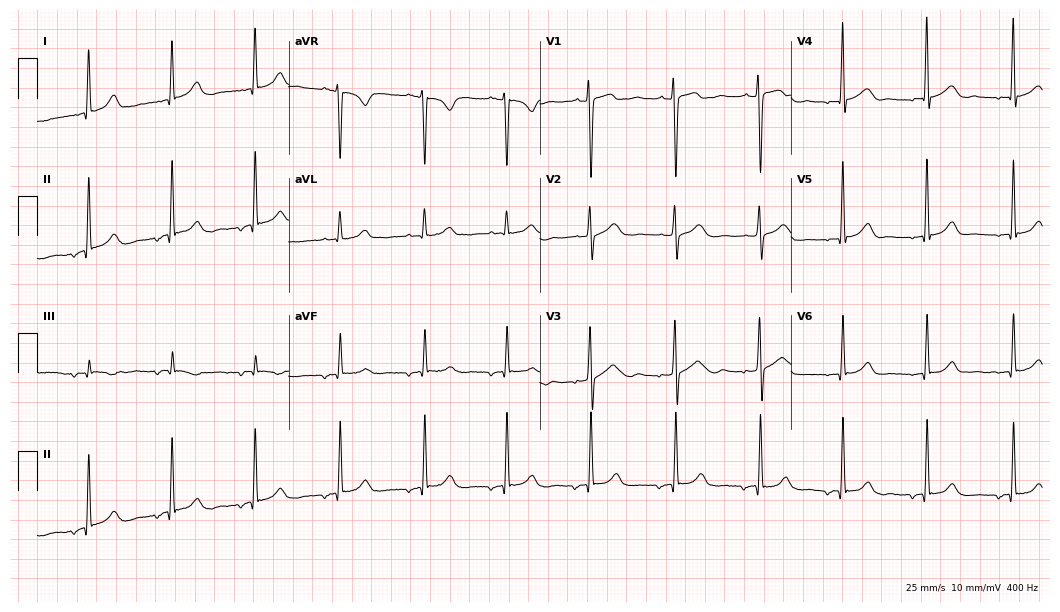
12-lead ECG (10.2-second recording at 400 Hz) from a woman, 20 years old. Screened for six findings — first-degree AV block, right bundle branch block, left bundle branch block, sinus bradycardia, atrial fibrillation, sinus tachycardia — none is recorded. Other findings, if any, are not listed.